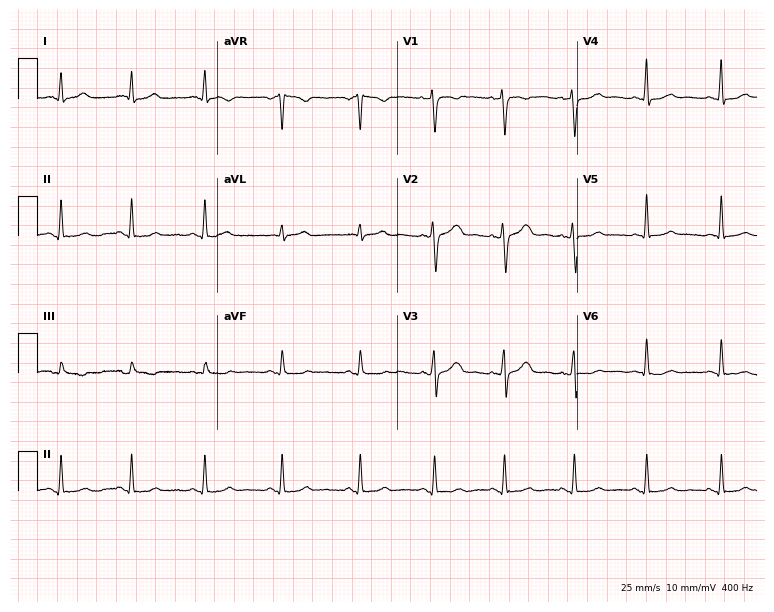
Resting 12-lead electrocardiogram. Patient: a woman, 27 years old. None of these six findings is recorded: first-degree AV block, right bundle branch block, left bundle branch block, sinus bradycardia, atrial fibrillation, sinus tachycardia.